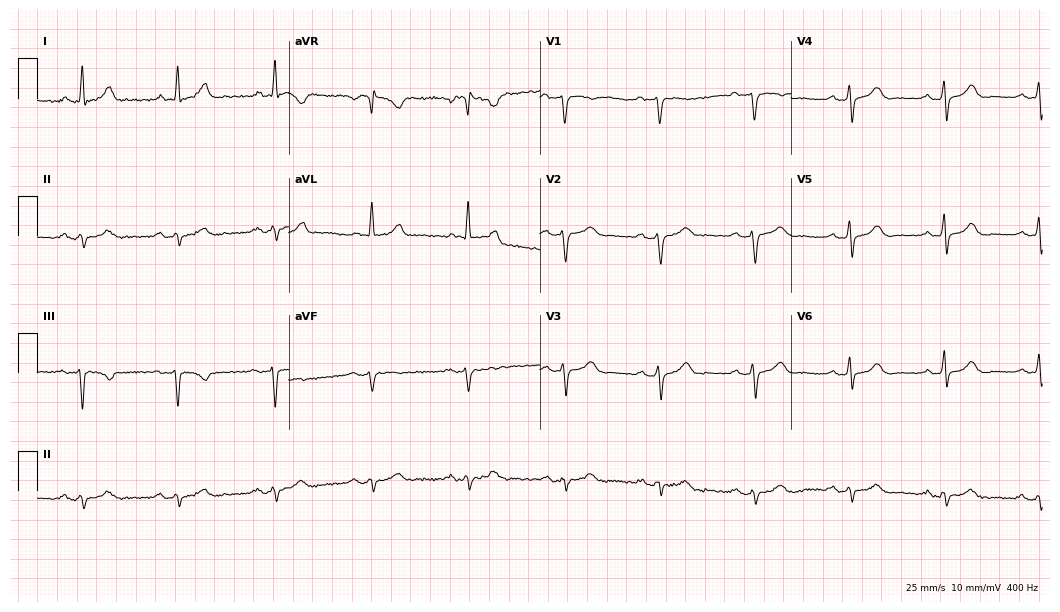
Standard 12-lead ECG recorded from a 59-year-old male. None of these six findings is recorded: first-degree AV block, right bundle branch block, left bundle branch block, sinus bradycardia, atrial fibrillation, sinus tachycardia.